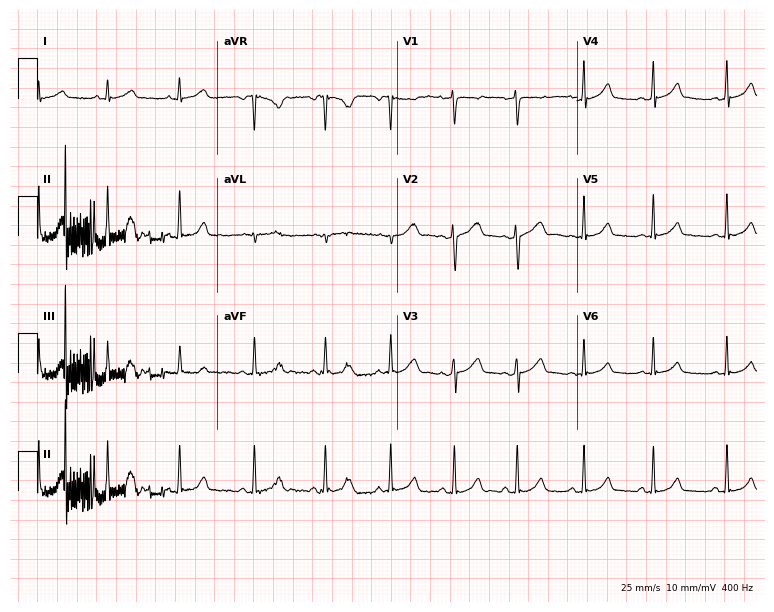
Standard 12-lead ECG recorded from a 32-year-old female patient. Read as a normal ECG.